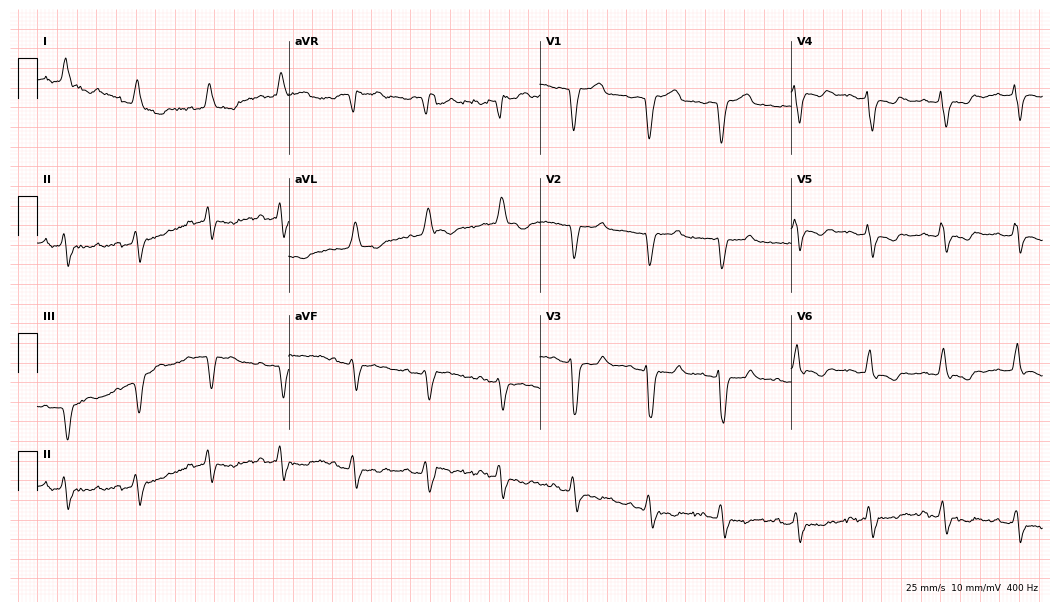
12-lead ECG from an 85-year-old male. Shows left bundle branch block (LBBB).